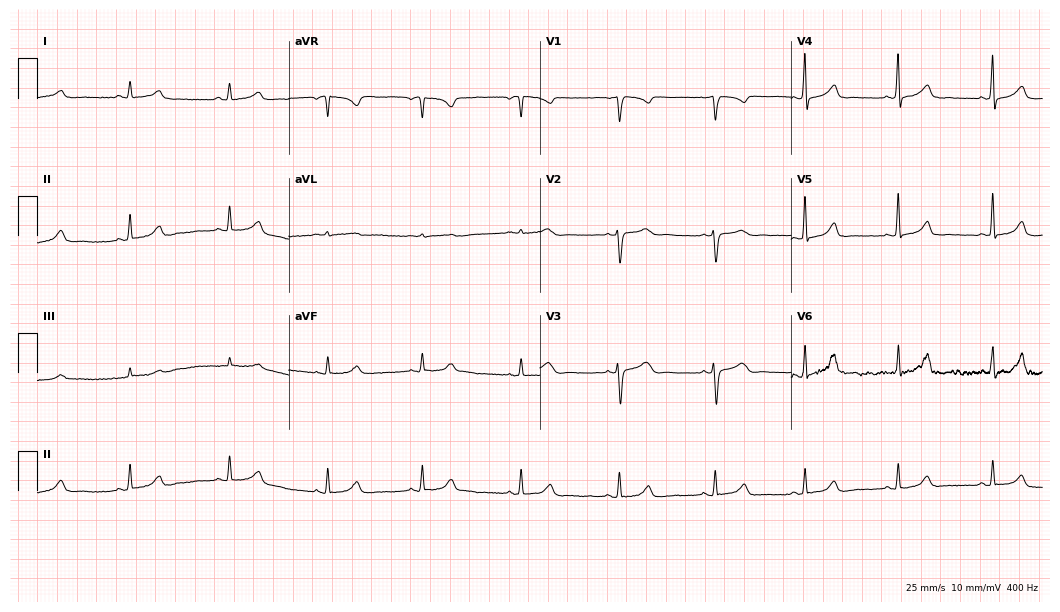
12-lead ECG from a woman, 34 years old. Recorded interpretation: within normal limits.